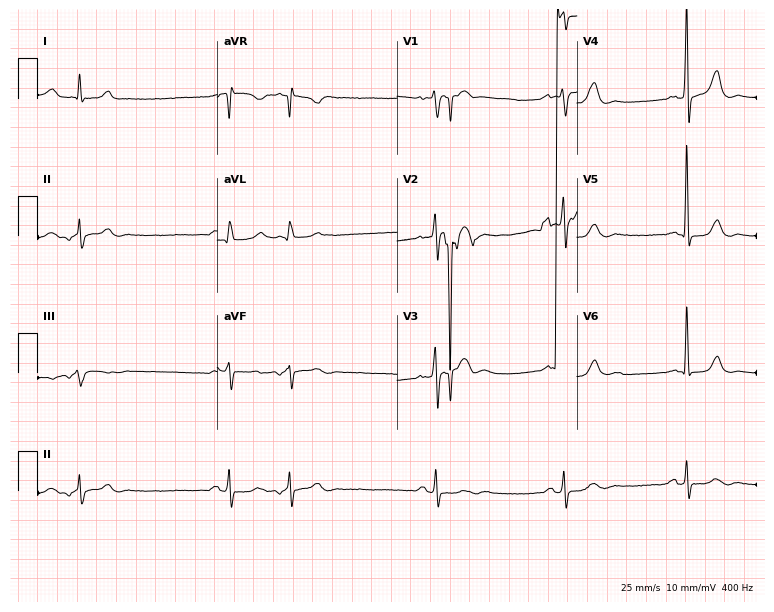
ECG (7.3-second recording at 400 Hz) — a 70-year-old man. Screened for six findings — first-degree AV block, right bundle branch block, left bundle branch block, sinus bradycardia, atrial fibrillation, sinus tachycardia — none is recorded. Findings outside these six are not listed.